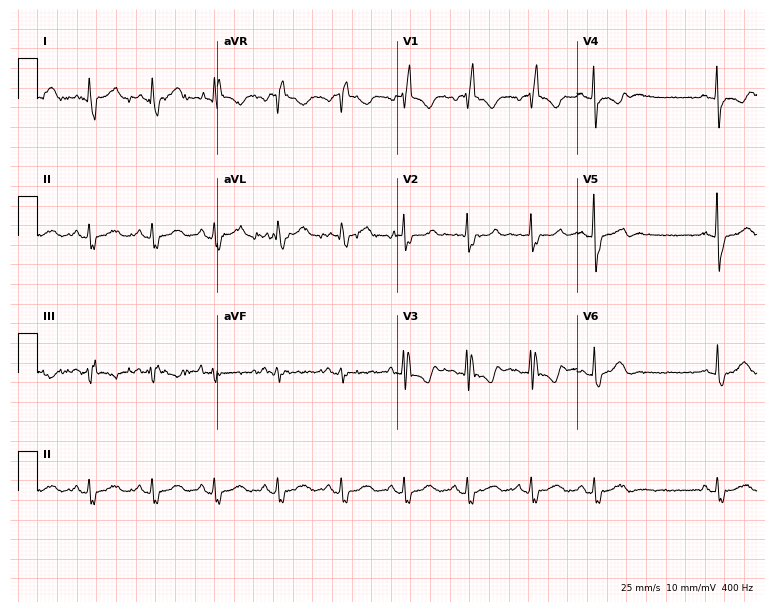
12-lead ECG from an 86-year-old woman. Findings include right bundle branch block.